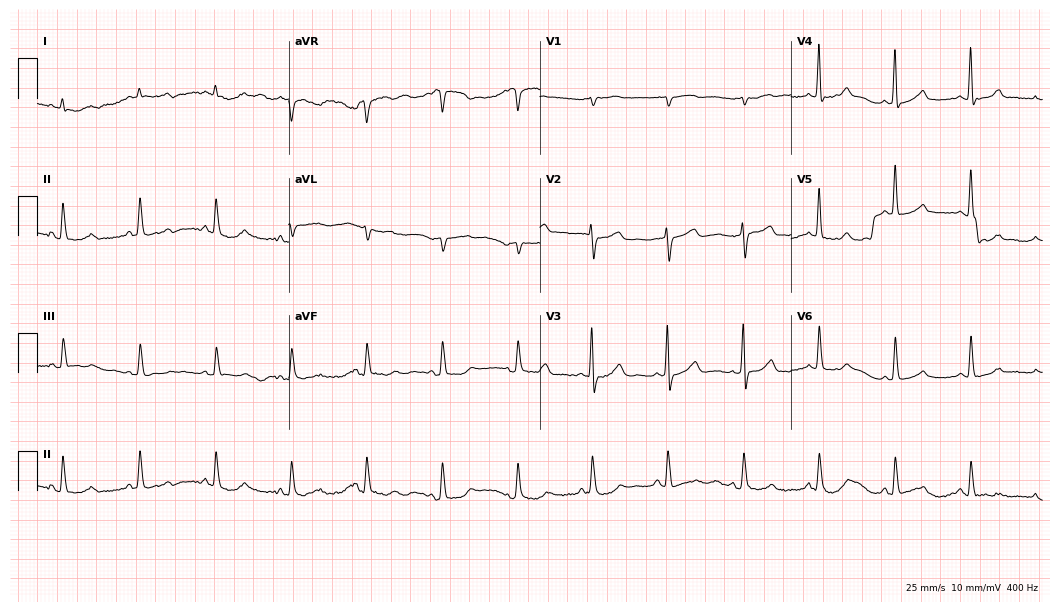
ECG — a woman, 64 years old. Labelled as a normal ECG.